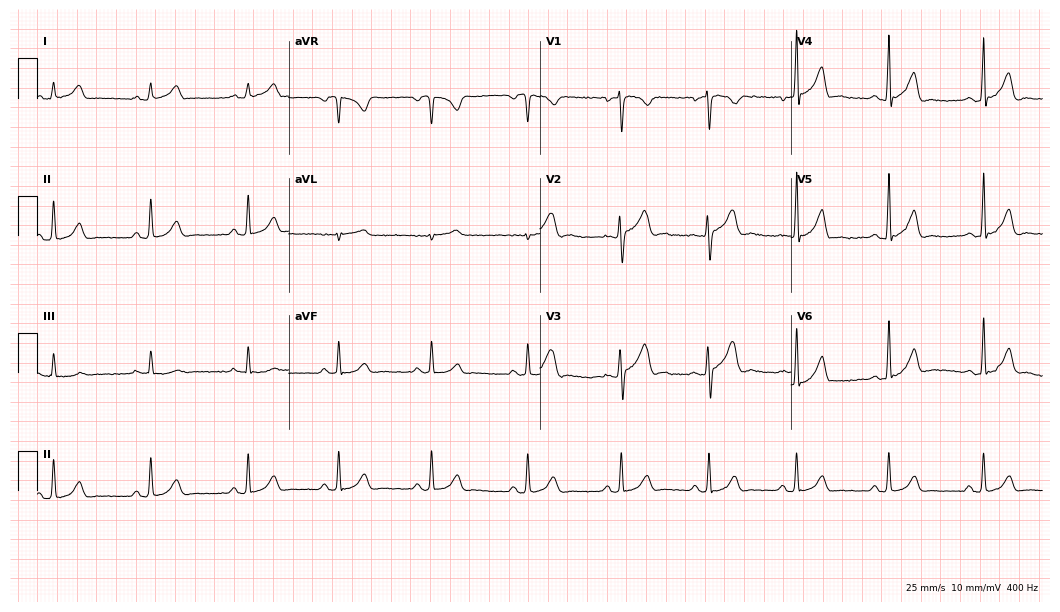
Resting 12-lead electrocardiogram (10.2-second recording at 400 Hz). Patient: a 22-year-old male. None of these six findings is recorded: first-degree AV block, right bundle branch block (RBBB), left bundle branch block (LBBB), sinus bradycardia, atrial fibrillation (AF), sinus tachycardia.